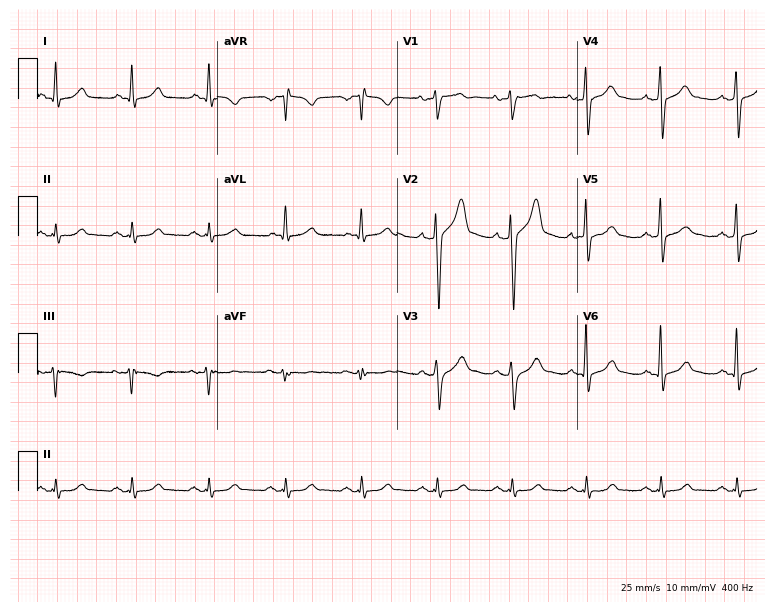
ECG — a 43-year-old man. Screened for six findings — first-degree AV block, right bundle branch block, left bundle branch block, sinus bradycardia, atrial fibrillation, sinus tachycardia — none is recorded.